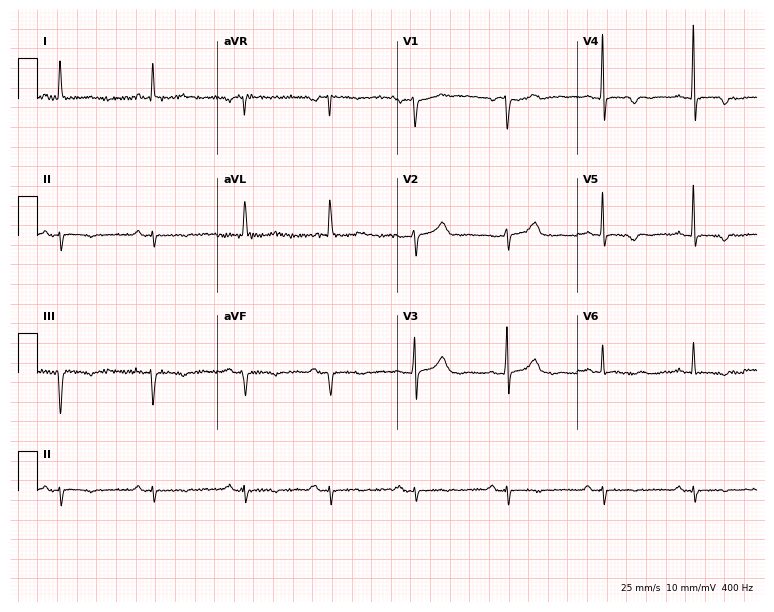
12-lead ECG from a female, 82 years old. No first-degree AV block, right bundle branch block, left bundle branch block, sinus bradycardia, atrial fibrillation or sinus tachycardia recorded for this tracing.